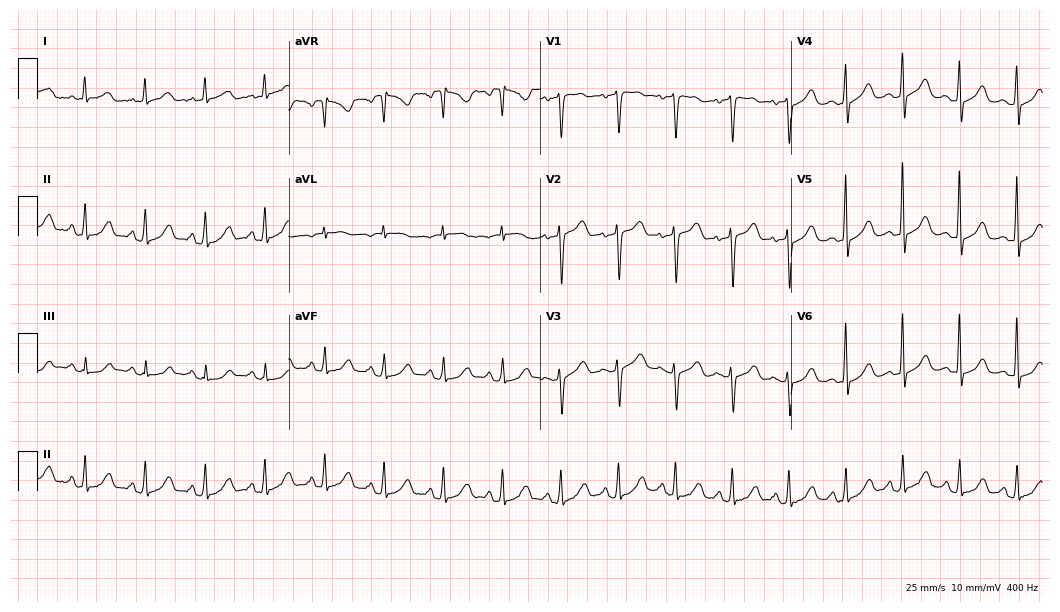
12-lead ECG from a 49-year-old woman. Findings include sinus tachycardia (a sinus rate of 100 beats per minute or more).